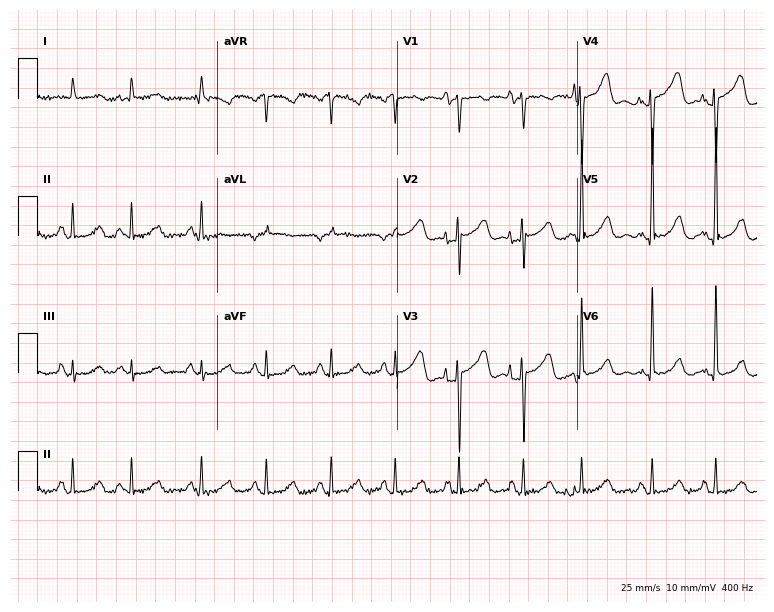
Electrocardiogram (7.3-second recording at 400 Hz), a 72-year-old female patient. Overall reading on record: normal ECG.